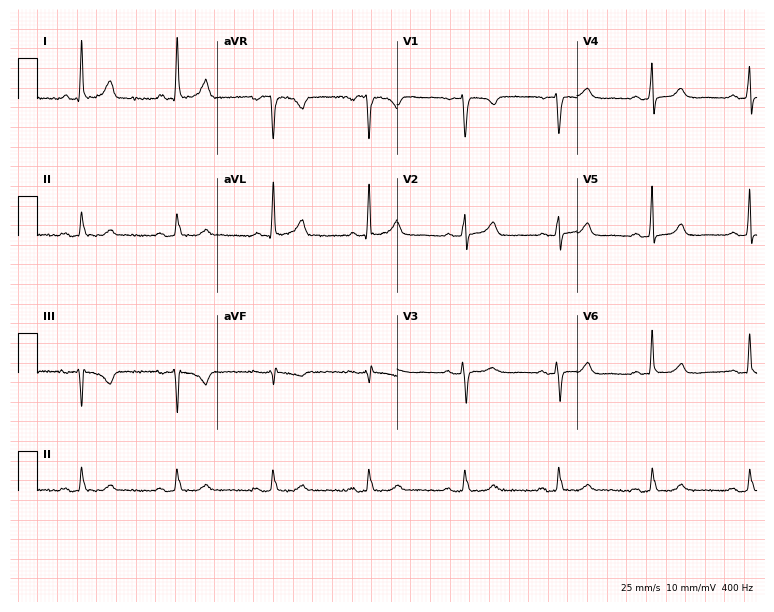
12-lead ECG from a female, 74 years old. Screened for six findings — first-degree AV block, right bundle branch block, left bundle branch block, sinus bradycardia, atrial fibrillation, sinus tachycardia — none is recorded. Other findings, if any, are not listed.